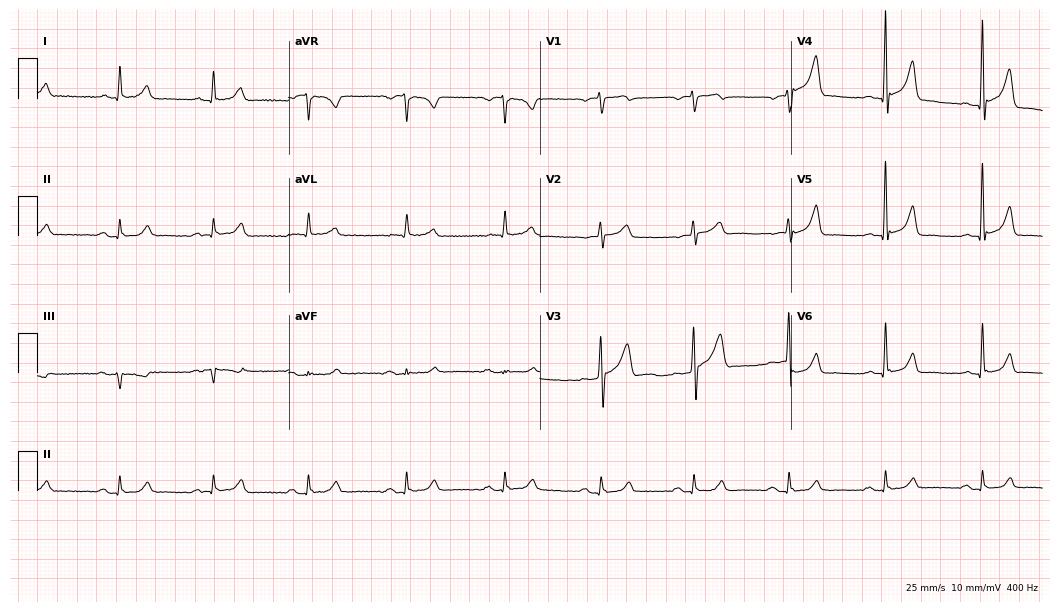
12-lead ECG (10.2-second recording at 400 Hz) from a man, 52 years old. Screened for six findings — first-degree AV block, right bundle branch block, left bundle branch block, sinus bradycardia, atrial fibrillation, sinus tachycardia — none is recorded.